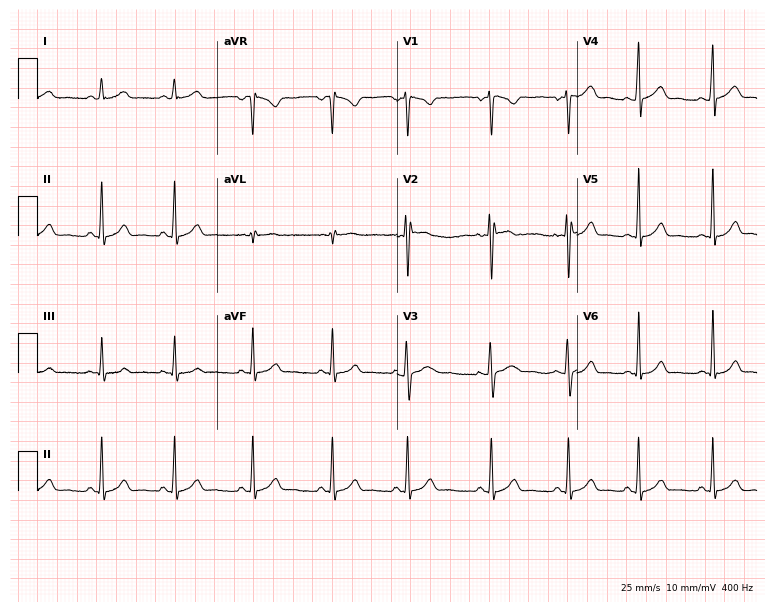
Standard 12-lead ECG recorded from a 20-year-old female patient (7.3-second recording at 400 Hz). Read as a normal ECG.